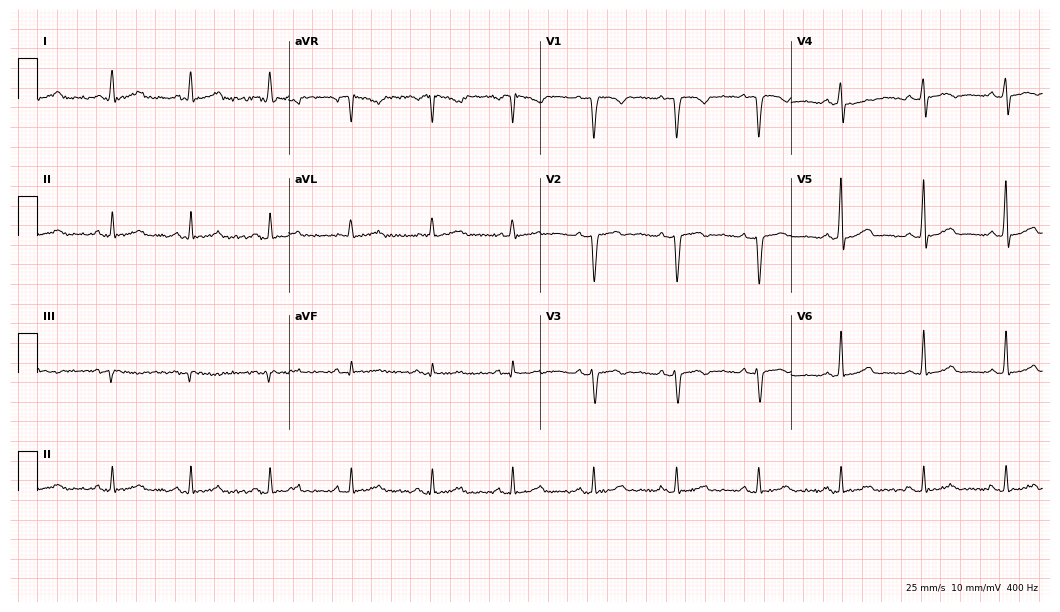
Resting 12-lead electrocardiogram. Patient: a female, 48 years old. Read as a normal ECG.